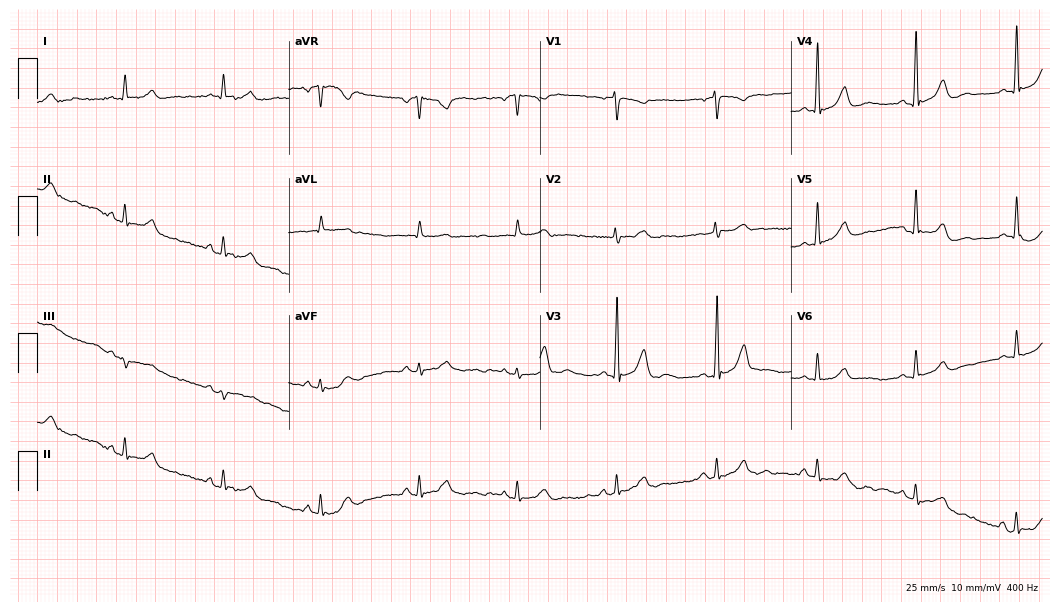
ECG (10.2-second recording at 400 Hz) — a 70-year-old man. Labelled as a normal ECG.